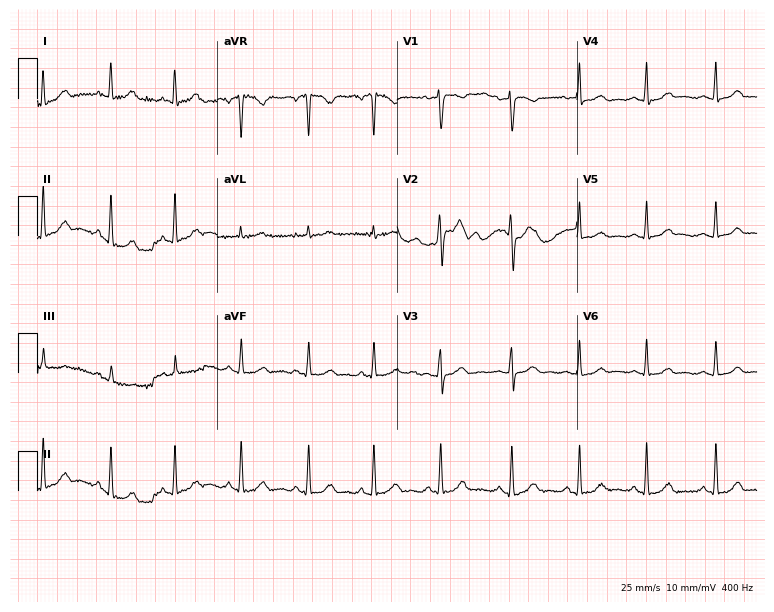
ECG — a 41-year-old female patient. Labelled as a normal ECG.